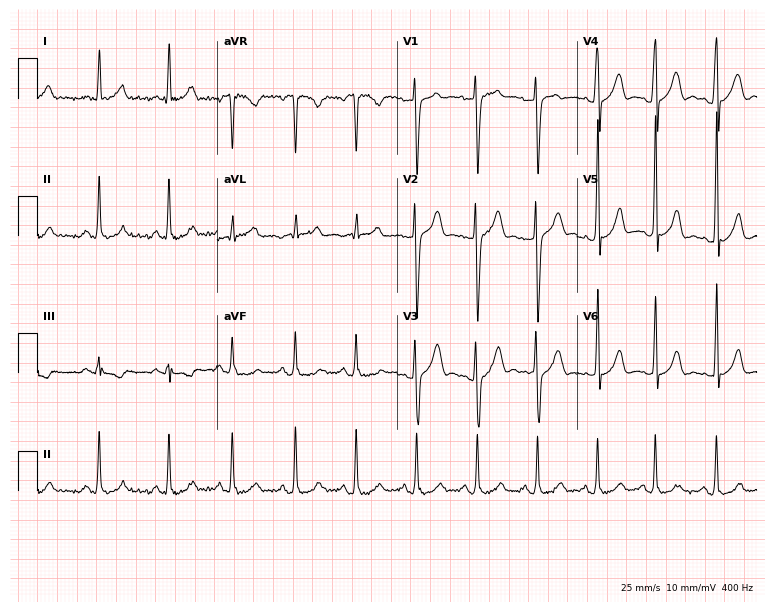
12-lead ECG from a male, 28 years old. No first-degree AV block, right bundle branch block, left bundle branch block, sinus bradycardia, atrial fibrillation or sinus tachycardia recorded for this tracing.